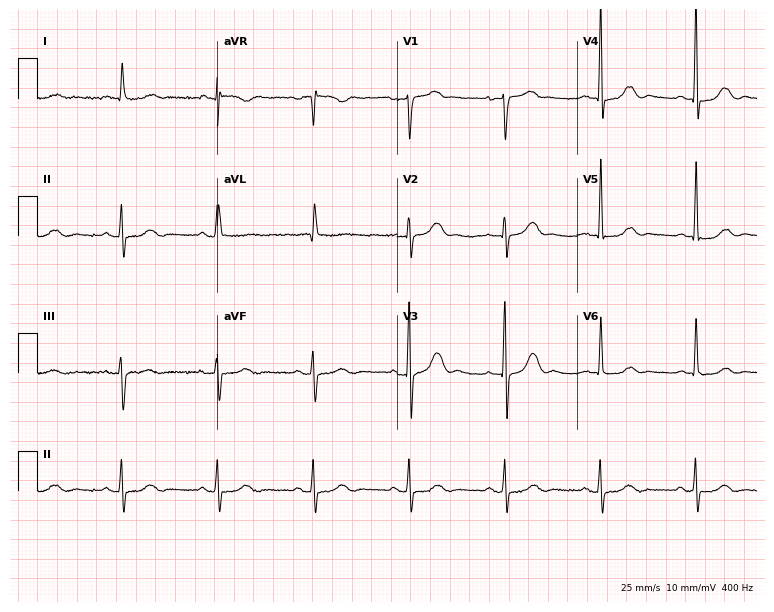
Resting 12-lead electrocardiogram (7.3-second recording at 400 Hz). Patient: a 77-year-old male. Read as a normal ECG.